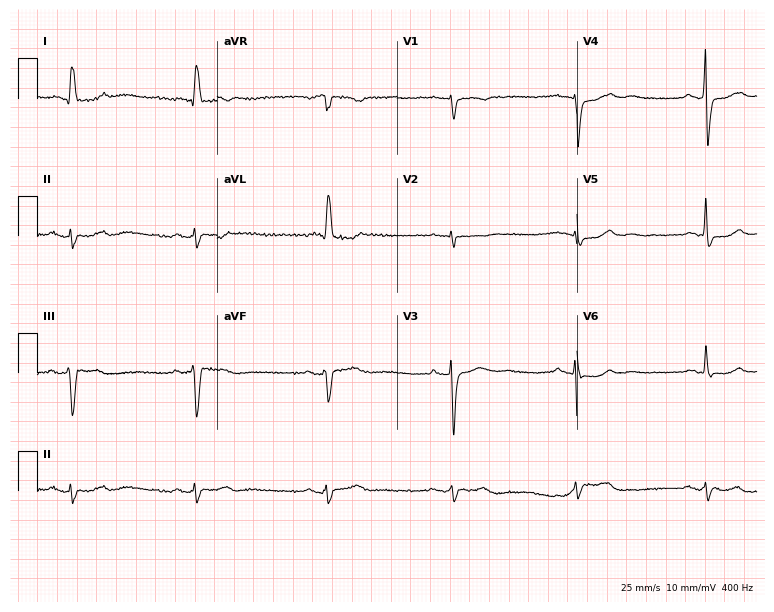
12-lead ECG from a female, 79 years old. No first-degree AV block, right bundle branch block, left bundle branch block, sinus bradycardia, atrial fibrillation or sinus tachycardia recorded for this tracing.